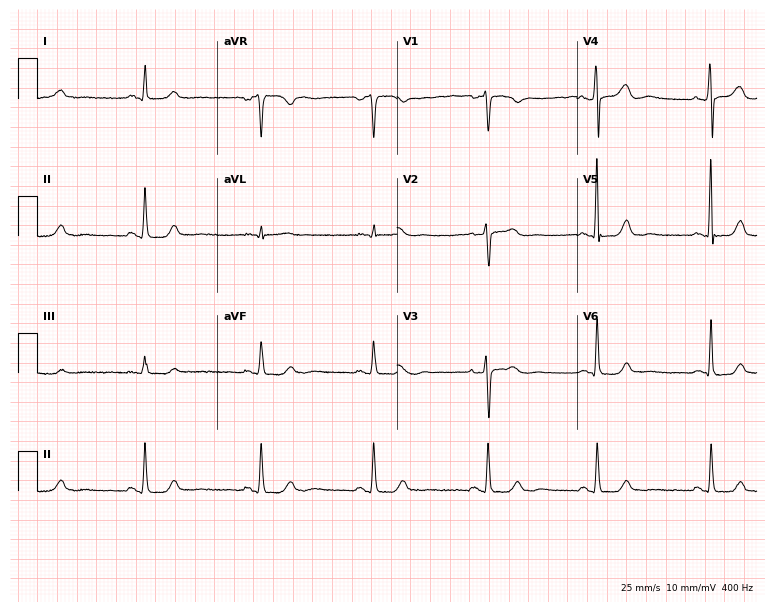
Electrocardiogram (7.3-second recording at 400 Hz), a 58-year-old female. Of the six screened findings (first-degree AV block, right bundle branch block (RBBB), left bundle branch block (LBBB), sinus bradycardia, atrial fibrillation (AF), sinus tachycardia), none is recorded. Other findings, if any, are not listed.